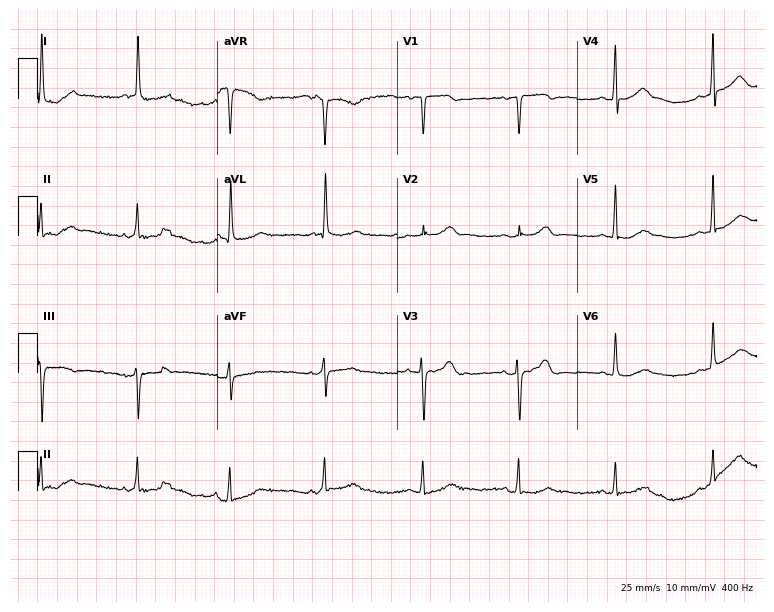
Electrocardiogram (7.3-second recording at 400 Hz), a 50-year-old female patient. Of the six screened findings (first-degree AV block, right bundle branch block, left bundle branch block, sinus bradycardia, atrial fibrillation, sinus tachycardia), none is recorded. Only these six findings were labelled.